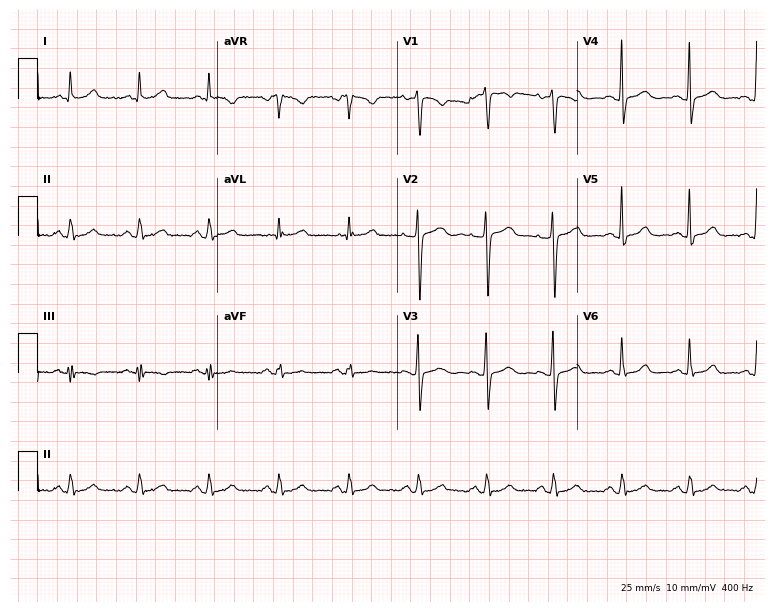
12-lead ECG (7.3-second recording at 400 Hz) from a 60-year-old woman. Labelled as a normal ECG.